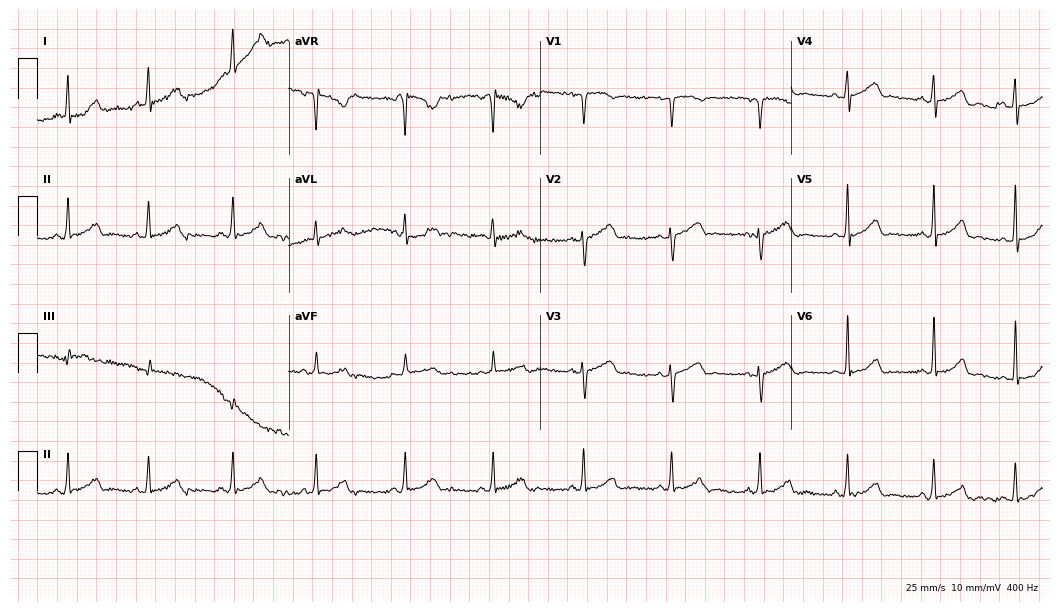
ECG (10.2-second recording at 400 Hz) — a 34-year-old female. Labelled as a normal ECG.